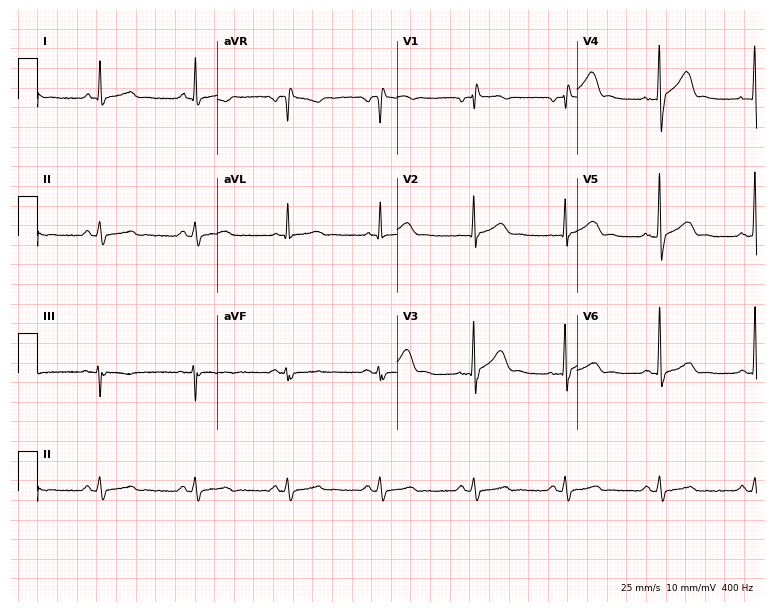
Electrocardiogram, a man, 57 years old. Of the six screened findings (first-degree AV block, right bundle branch block, left bundle branch block, sinus bradycardia, atrial fibrillation, sinus tachycardia), none is recorded.